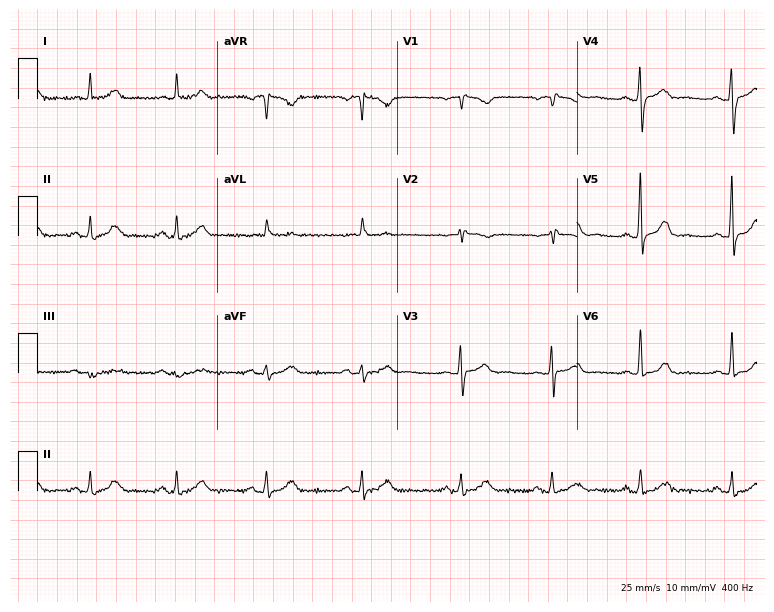
12-lead ECG from a 66-year-old woman (7.3-second recording at 400 Hz). Recorded interpretation: within normal limits.